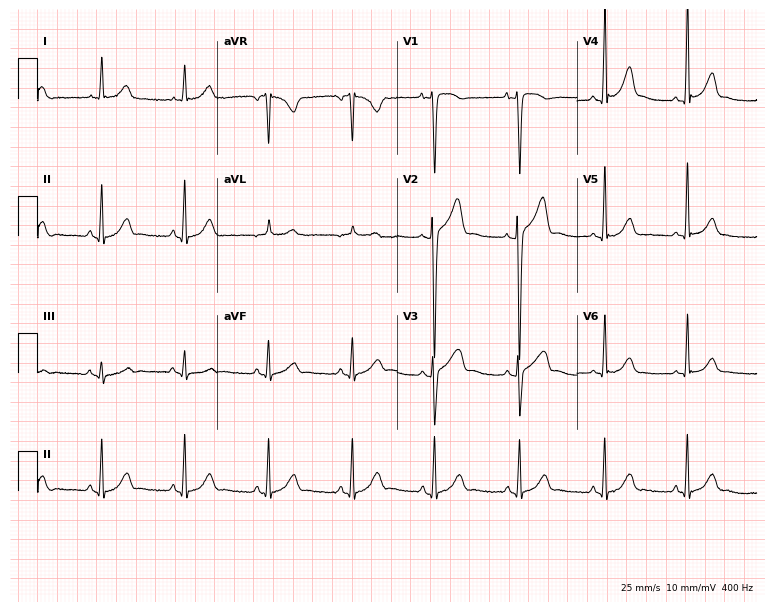
12-lead ECG from a 46-year-old male patient. No first-degree AV block, right bundle branch block, left bundle branch block, sinus bradycardia, atrial fibrillation or sinus tachycardia recorded for this tracing. Only these six findings were labelled.